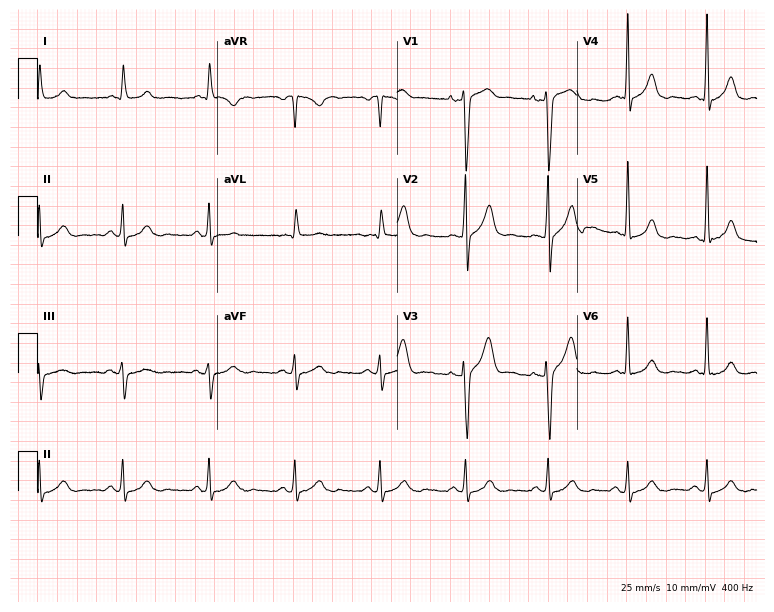
Resting 12-lead electrocardiogram (7.3-second recording at 400 Hz). Patient: a man, 62 years old. Read as a normal ECG.